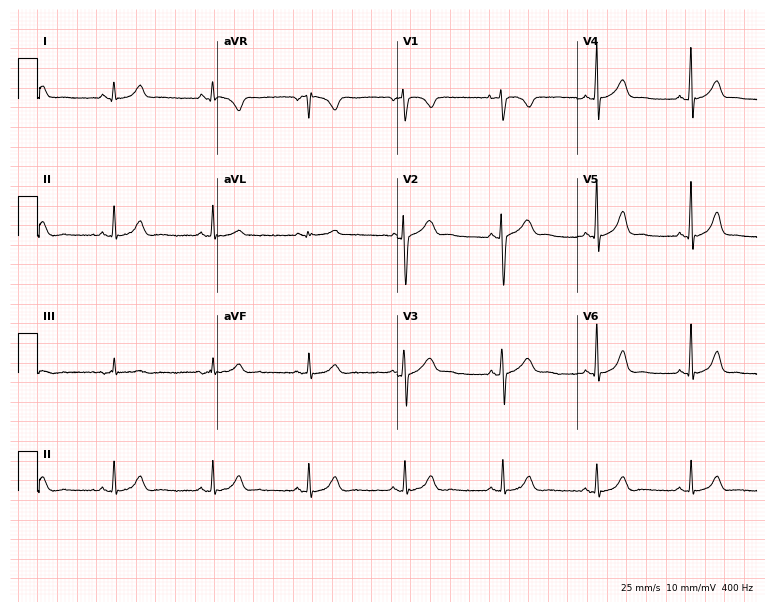
12-lead ECG from a woman, 26 years old. Labelled as a normal ECG.